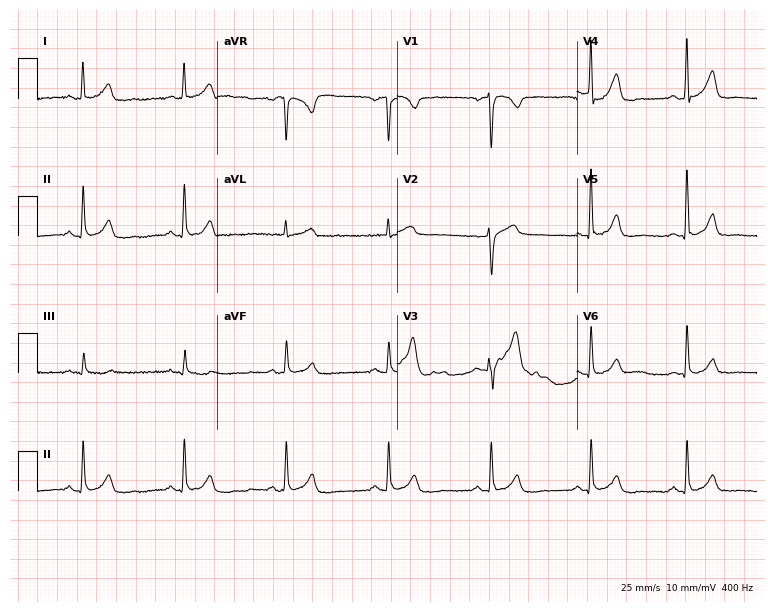
Resting 12-lead electrocardiogram (7.3-second recording at 400 Hz). Patient: a 52-year-old male. None of these six findings is recorded: first-degree AV block, right bundle branch block, left bundle branch block, sinus bradycardia, atrial fibrillation, sinus tachycardia.